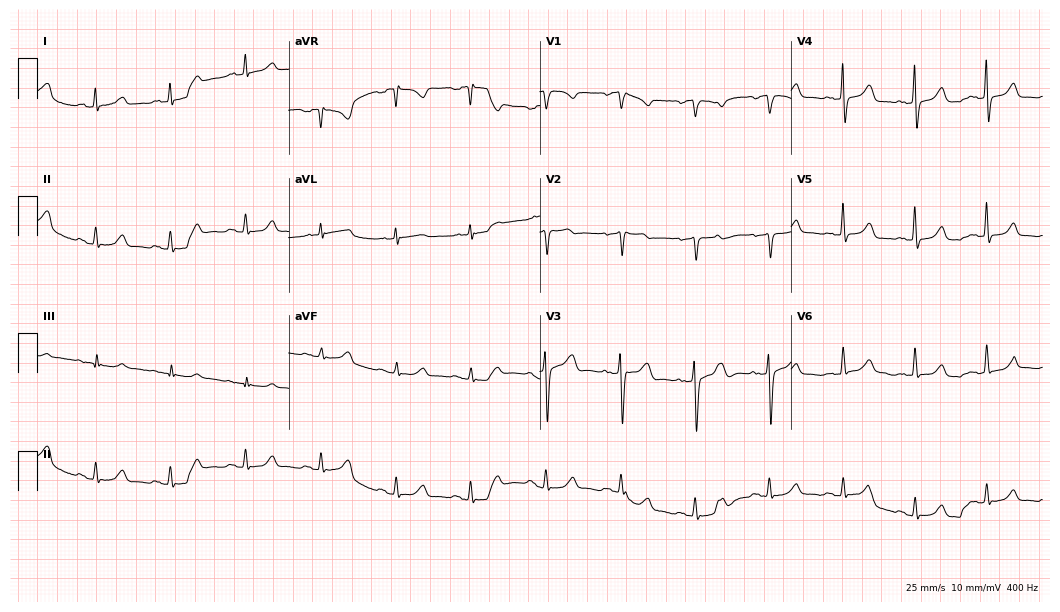
12-lead ECG from a 48-year-old female (10.2-second recording at 400 Hz). Recorded interpretation: within normal limits.